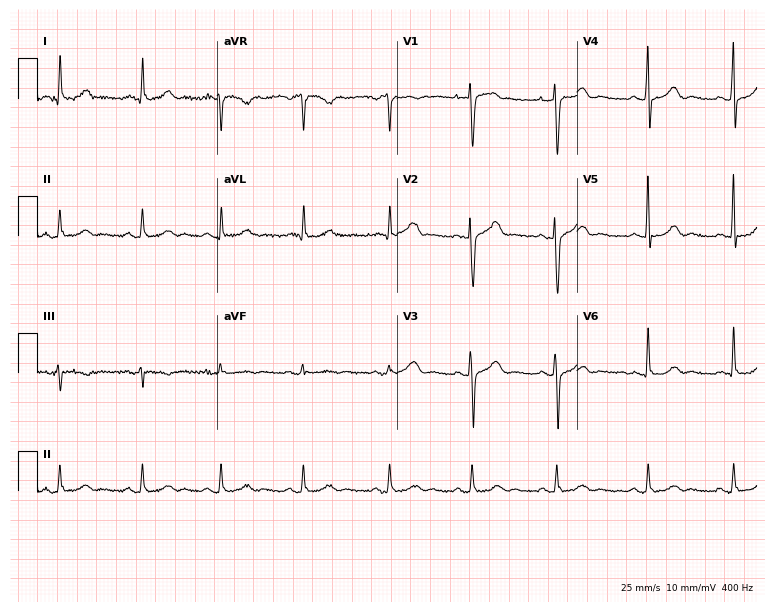
Electrocardiogram, a 39-year-old woman. Overall reading on record: normal ECG.